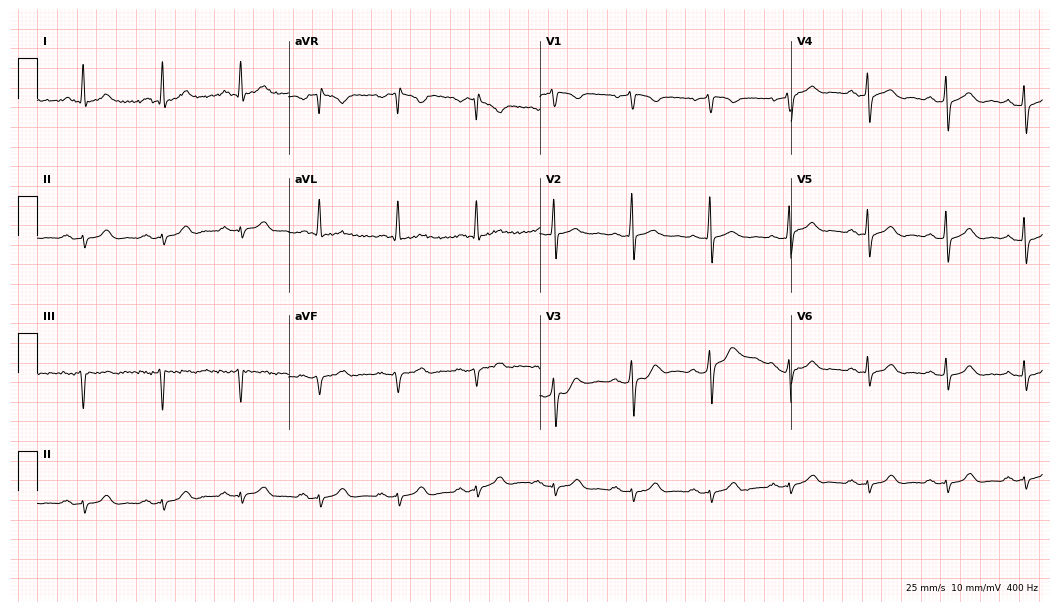
12-lead ECG from a male patient, 75 years old. No first-degree AV block, right bundle branch block (RBBB), left bundle branch block (LBBB), sinus bradycardia, atrial fibrillation (AF) or sinus tachycardia recorded for this tracing. Other findings, if any, are not listed.